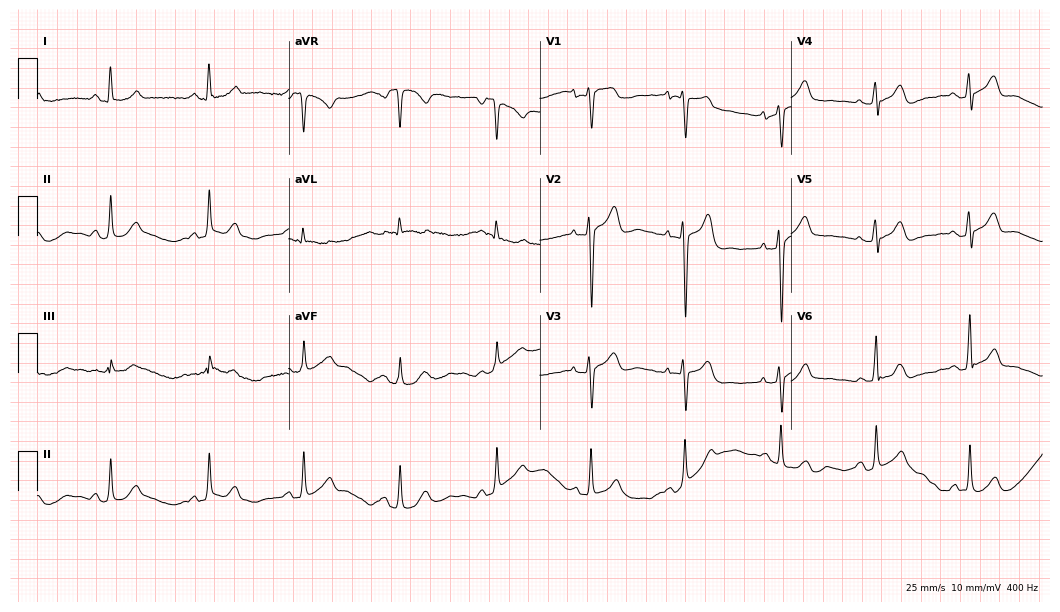
Resting 12-lead electrocardiogram. Patient: a female, 39 years old. Read as a normal ECG.